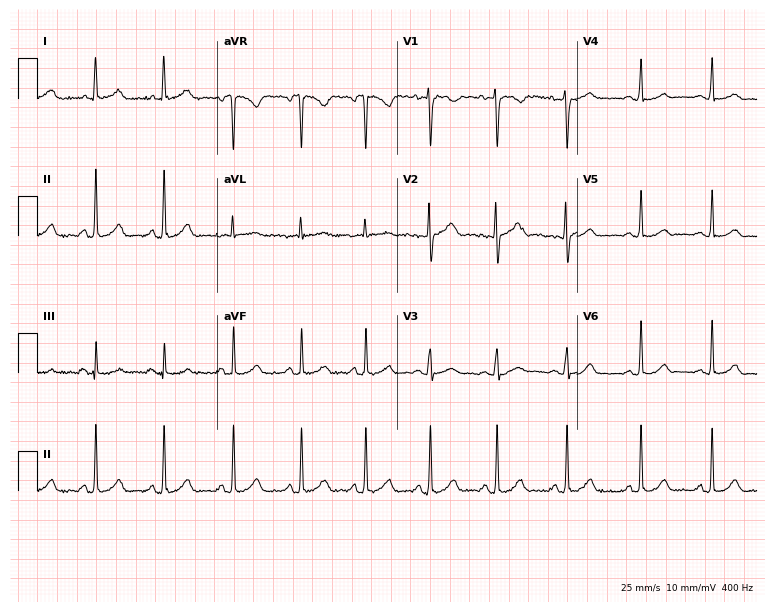
12-lead ECG from a female, 19 years old (7.3-second recording at 400 Hz). Recorded interpretation: within normal limits.